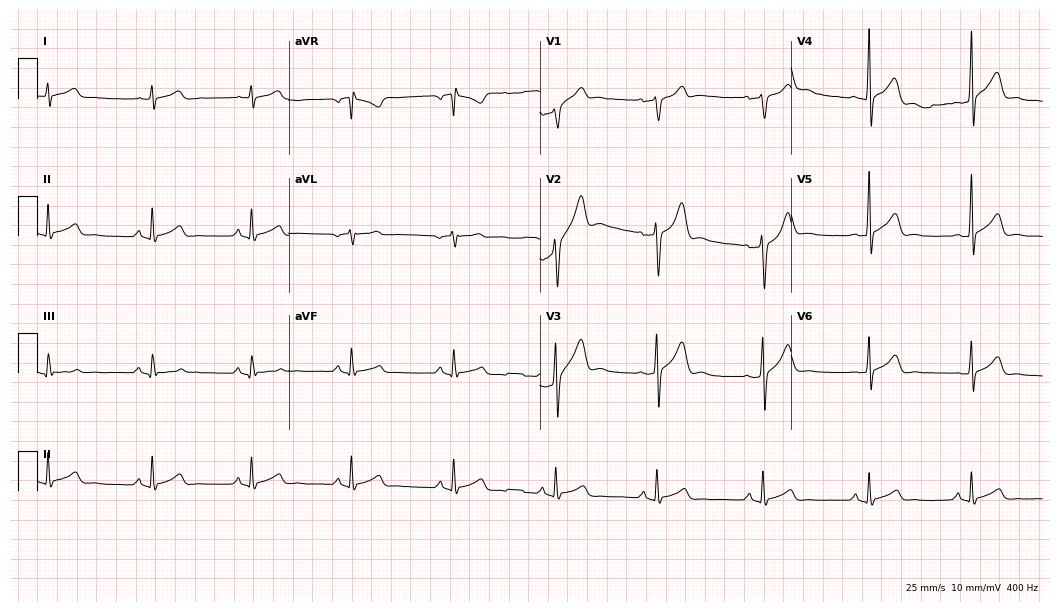
Standard 12-lead ECG recorded from a male patient, 36 years old (10.2-second recording at 400 Hz). None of these six findings is recorded: first-degree AV block, right bundle branch block (RBBB), left bundle branch block (LBBB), sinus bradycardia, atrial fibrillation (AF), sinus tachycardia. Findings outside these six are not listed.